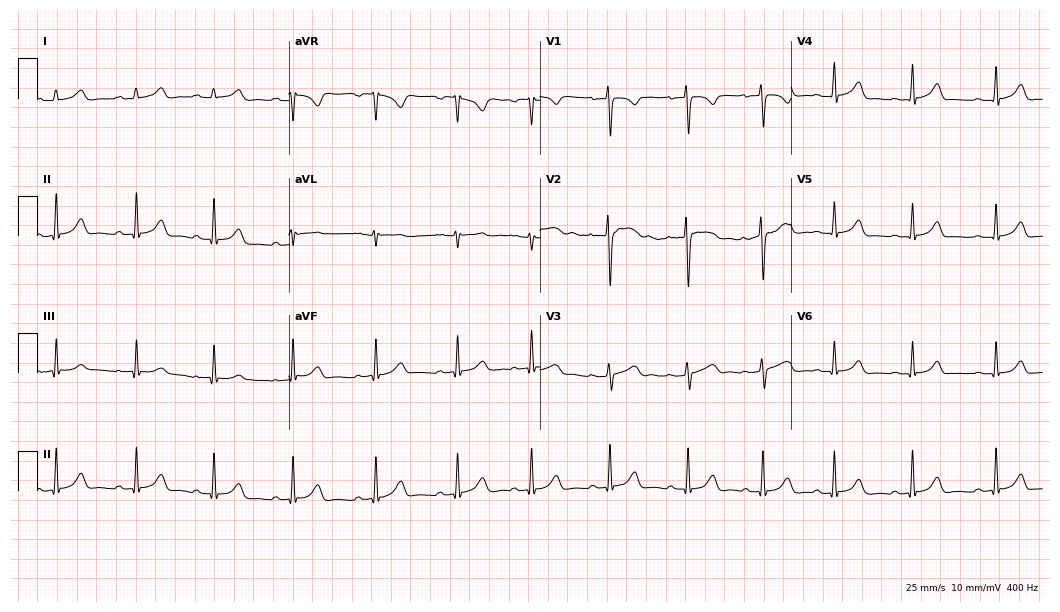
12-lead ECG from a 24-year-old female patient. Labelled as a normal ECG.